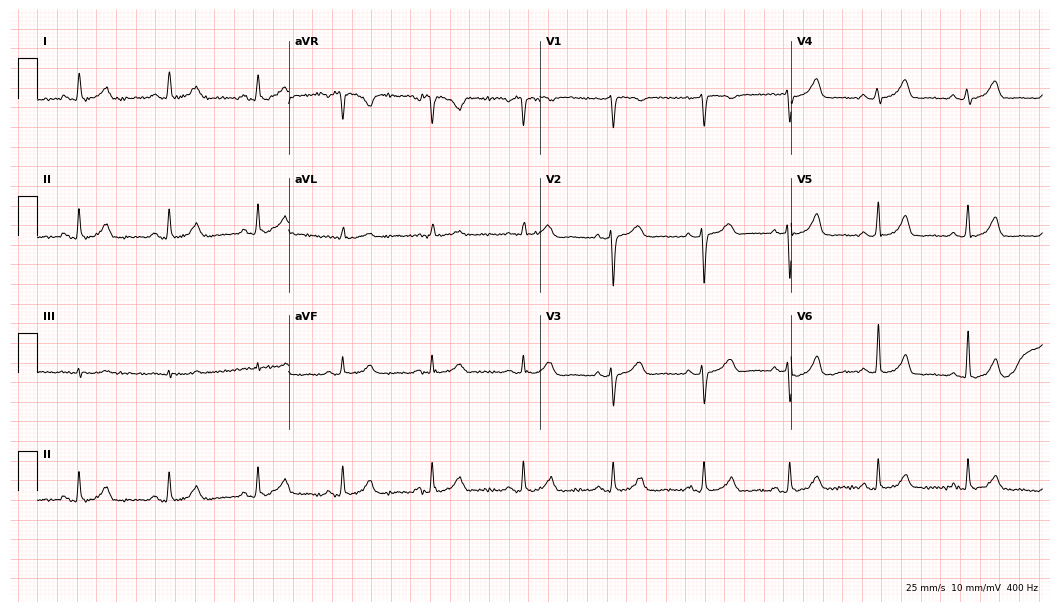
12-lead ECG from a female, 50 years old. Recorded interpretation: within normal limits.